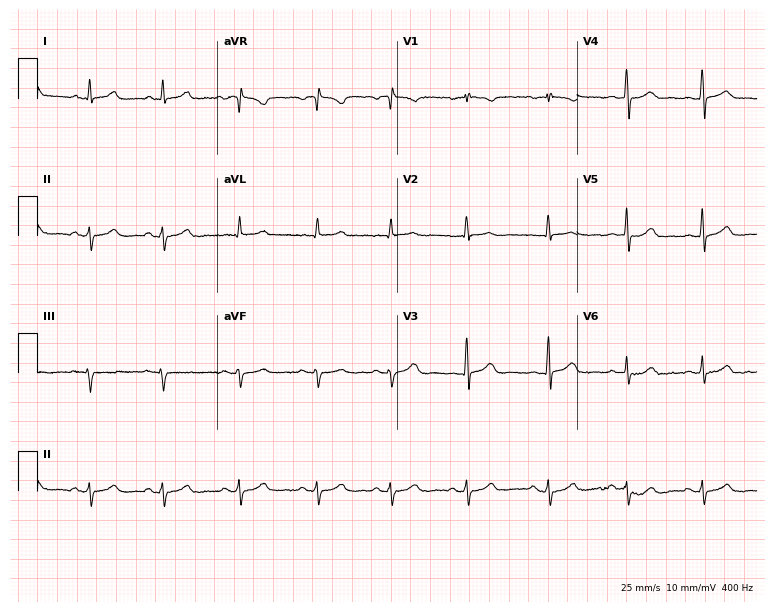
Resting 12-lead electrocardiogram (7.3-second recording at 400 Hz). Patient: an 18-year-old woman. None of these six findings is recorded: first-degree AV block, right bundle branch block (RBBB), left bundle branch block (LBBB), sinus bradycardia, atrial fibrillation (AF), sinus tachycardia.